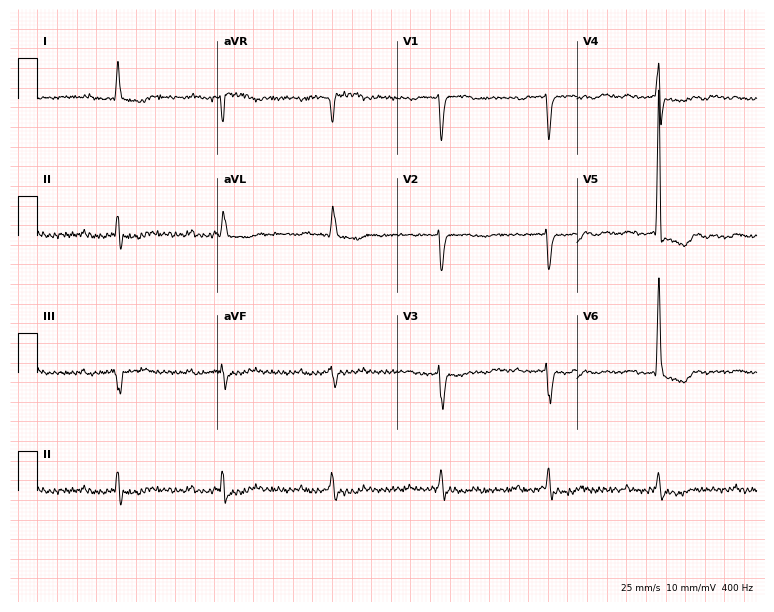
12-lead ECG (7.3-second recording at 400 Hz) from a 78-year-old female patient. Screened for six findings — first-degree AV block, right bundle branch block, left bundle branch block, sinus bradycardia, atrial fibrillation, sinus tachycardia — none is recorded. Other findings, if any, are not listed.